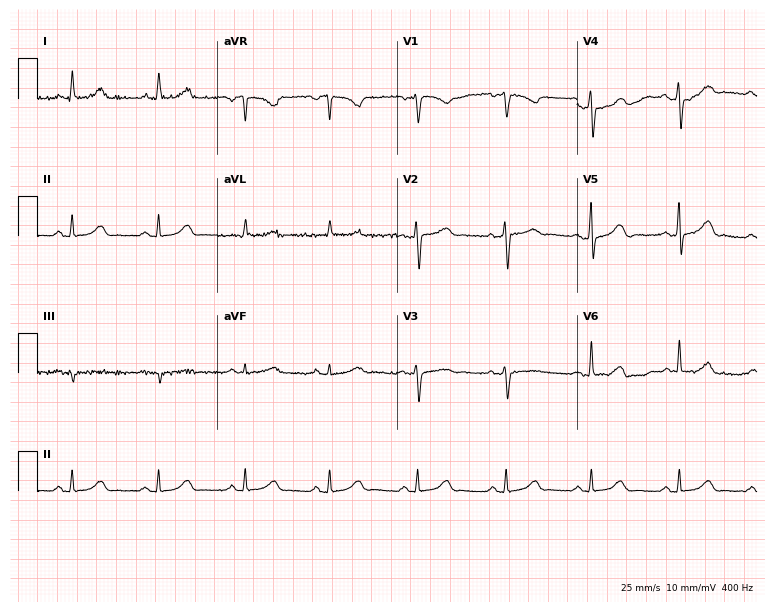
Electrocardiogram, a 57-year-old female patient. Overall reading on record: normal ECG.